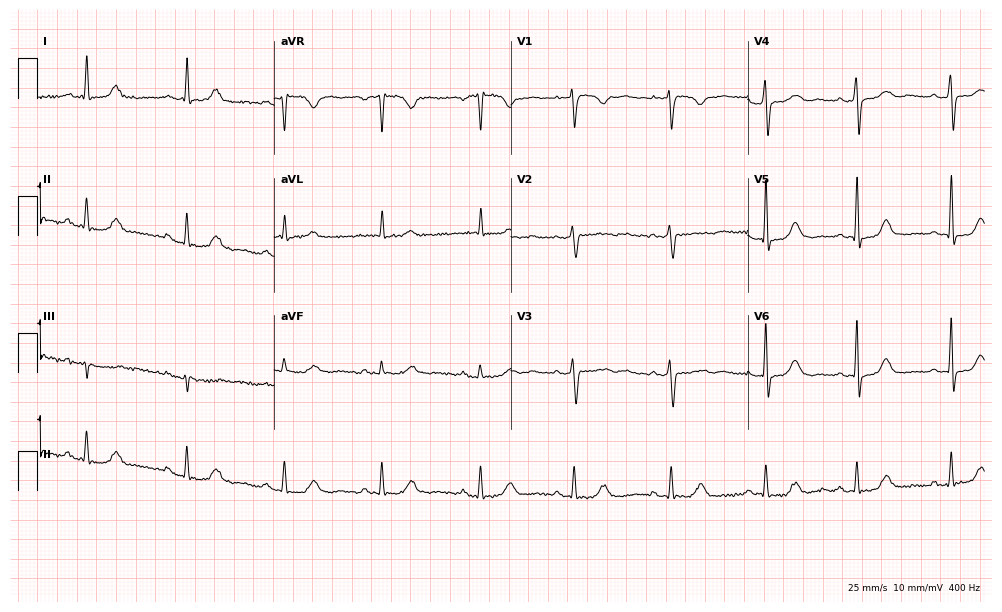
ECG (9.7-second recording at 400 Hz) — a 67-year-old female patient. Labelled as a normal ECG.